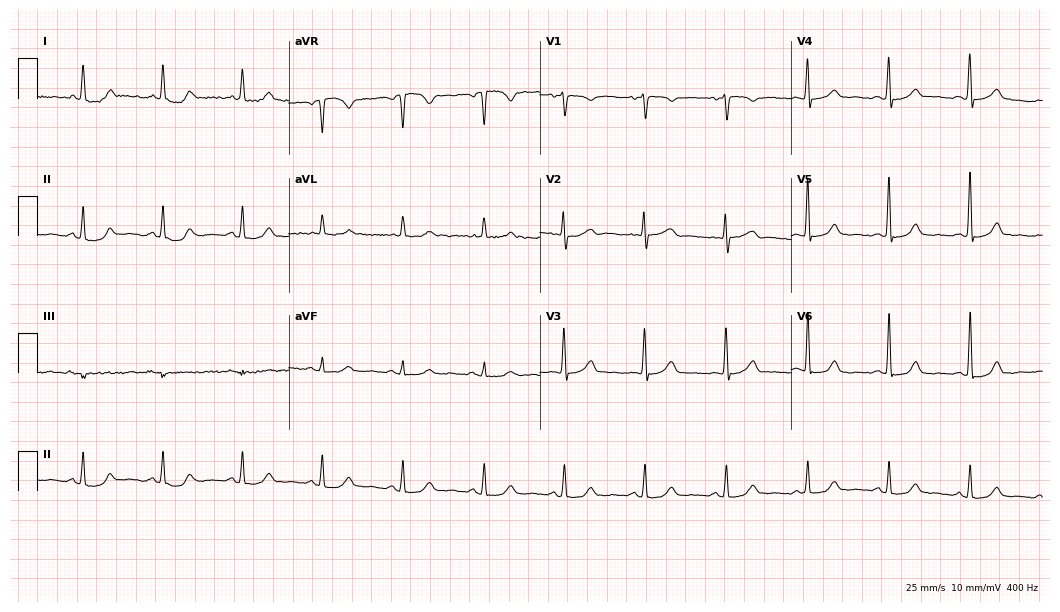
12-lead ECG from a female, 58 years old. Screened for six findings — first-degree AV block, right bundle branch block, left bundle branch block, sinus bradycardia, atrial fibrillation, sinus tachycardia — none is recorded. Only these six findings were labelled.